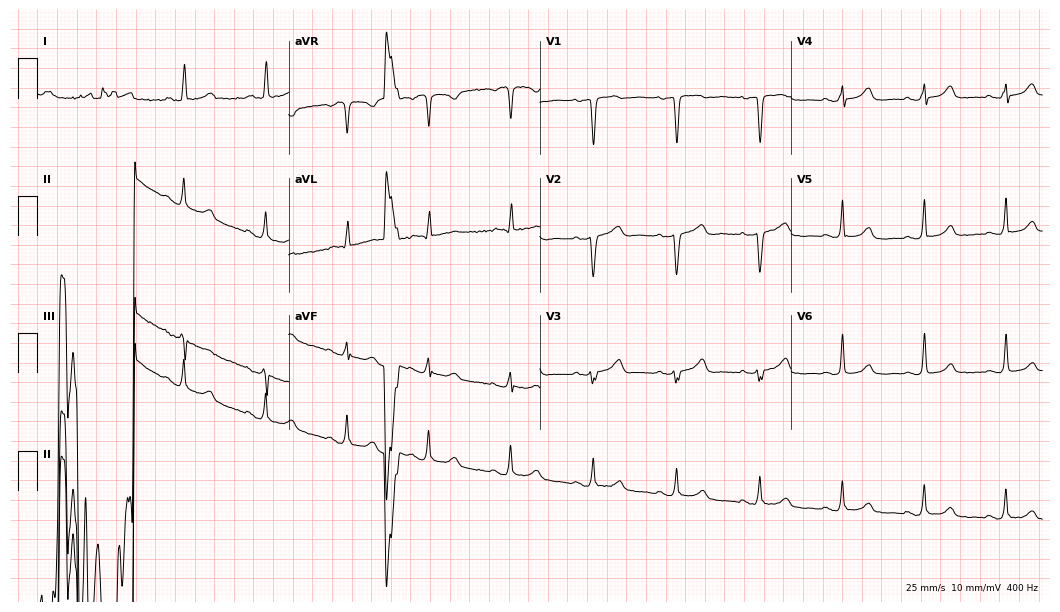
Electrocardiogram (10.2-second recording at 400 Hz), a woman, 77 years old. Of the six screened findings (first-degree AV block, right bundle branch block (RBBB), left bundle branch block (LBBB), sinus bradycardia, atrial fibrillation (AF), sinus tachycardia), none is recorded. Findings outside these six are not listed.